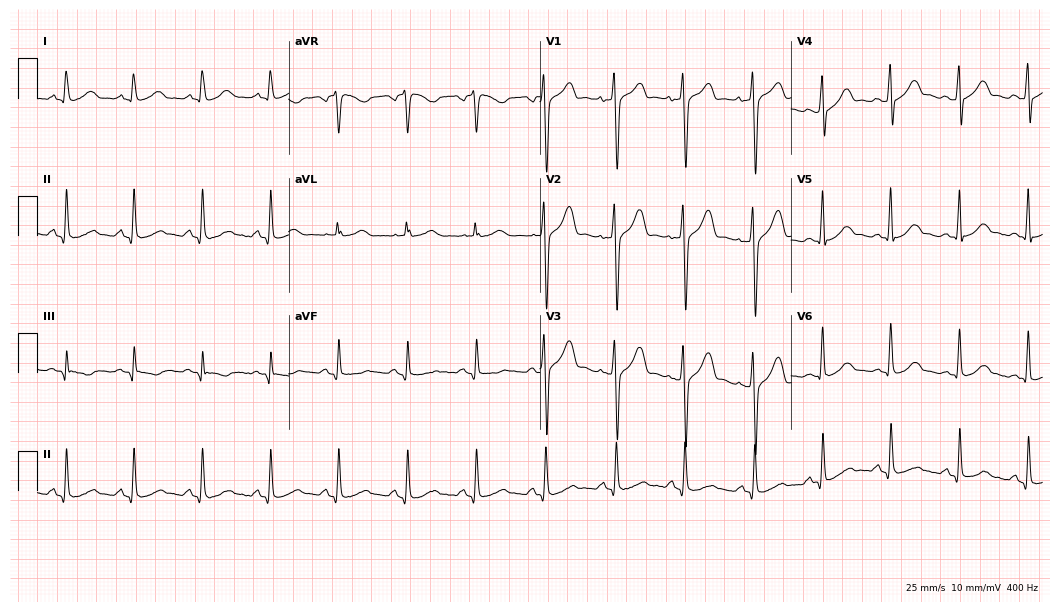
12-lead ECG from a 35-year-old male patient (10.2-second recording at 400 Hz). Recorded interpretation: within normal limits.